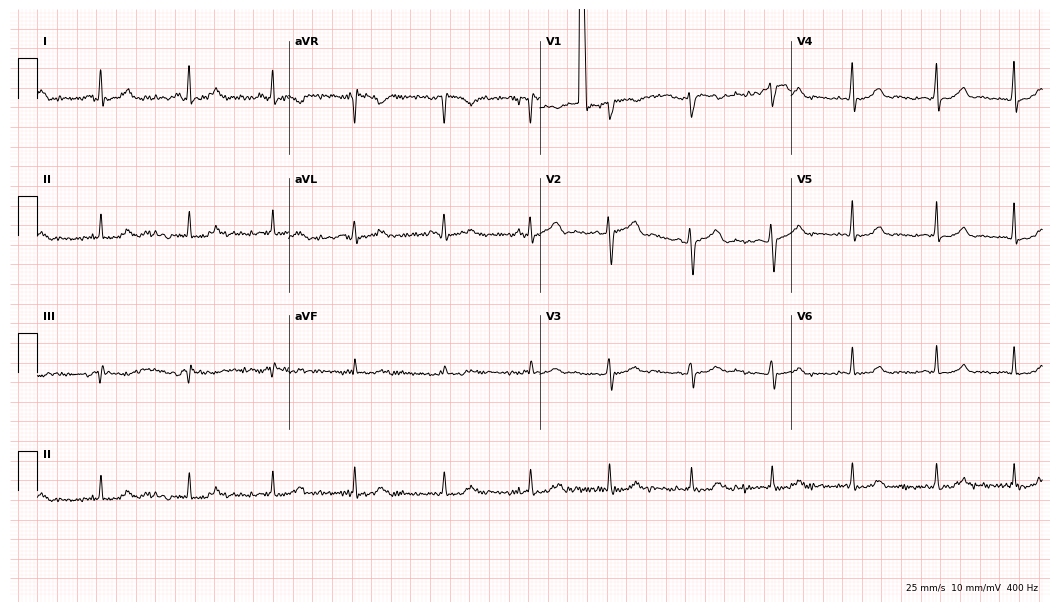
Standard 12-lead ECG recorded from a female patient, 28 years old (10.2-second recording at 400 Hz). Read as a normal ECG.